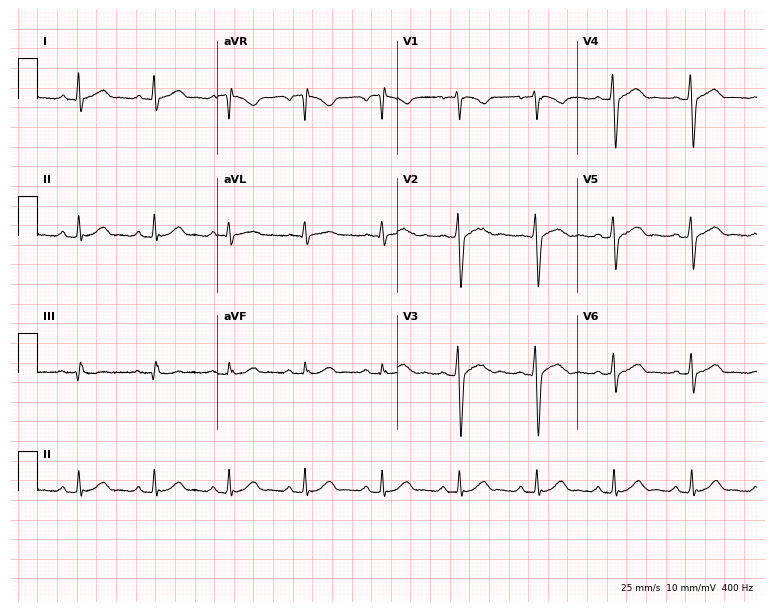
Electrocardiogram (7.3-second recording at 400 Hz), a 33-year-old male. Overall reading on record: normal ECG.